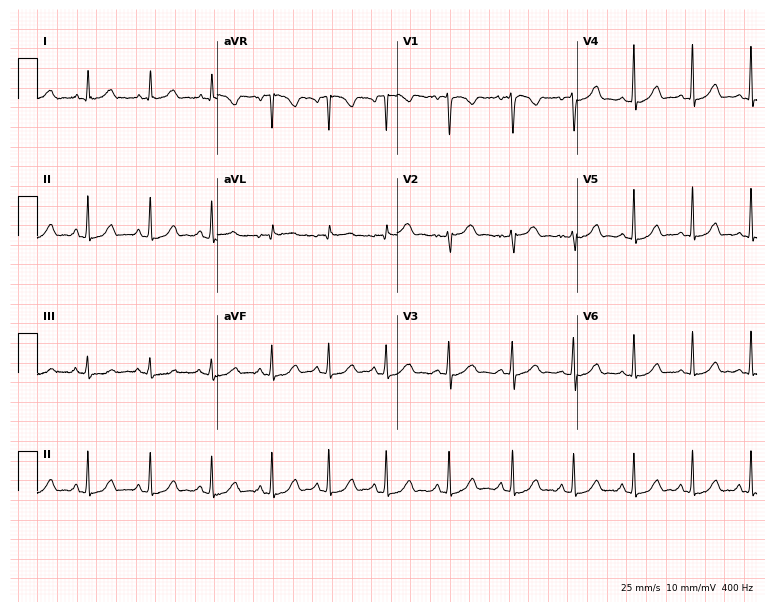
Electrocardiogram, a 21-year-old woman. Overall reading on record: normal ECG.